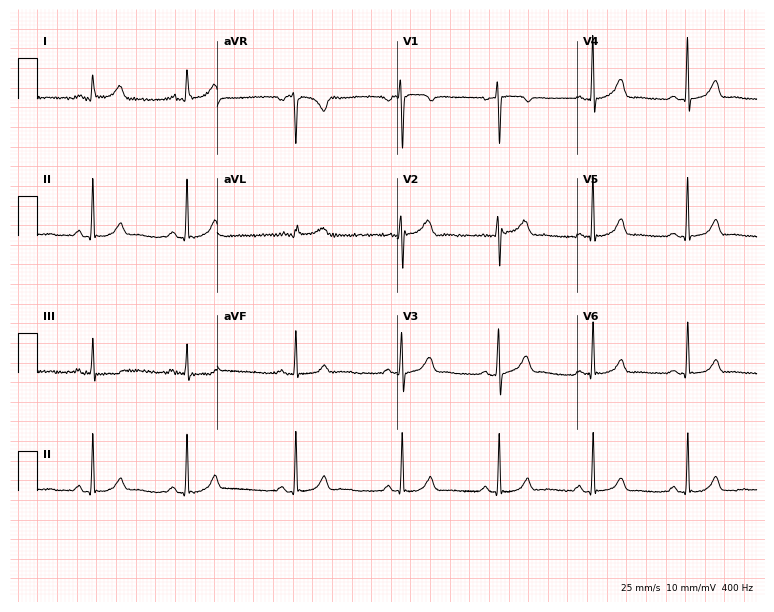
12-lead ECG from a woman, 38 years old. Labelled as a normal ECG.